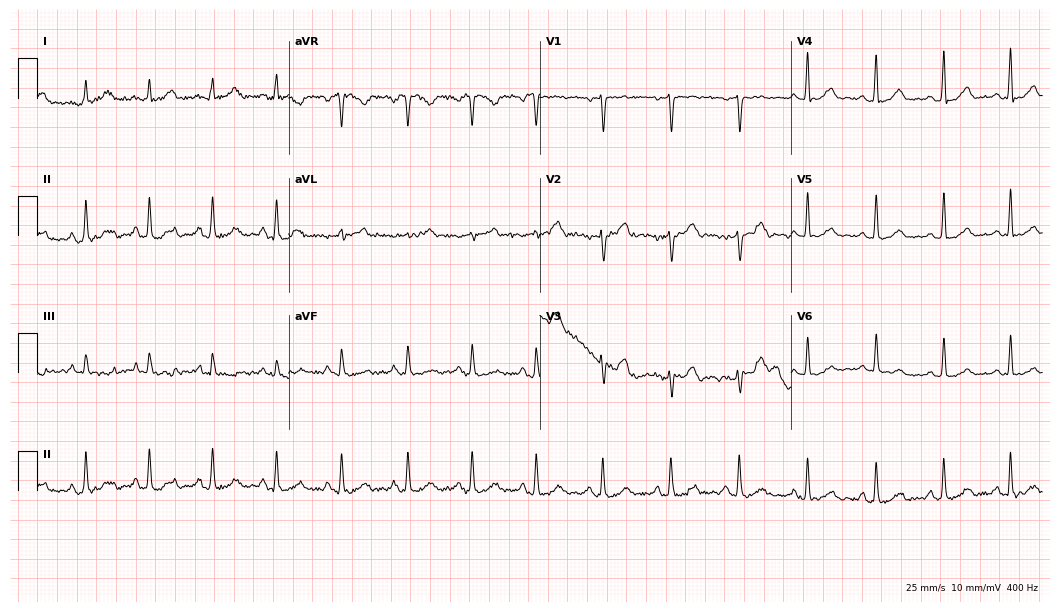
Resting 12-lead electrocardiogram. Patient: a female, 51 years old. Read as a normal ECG.